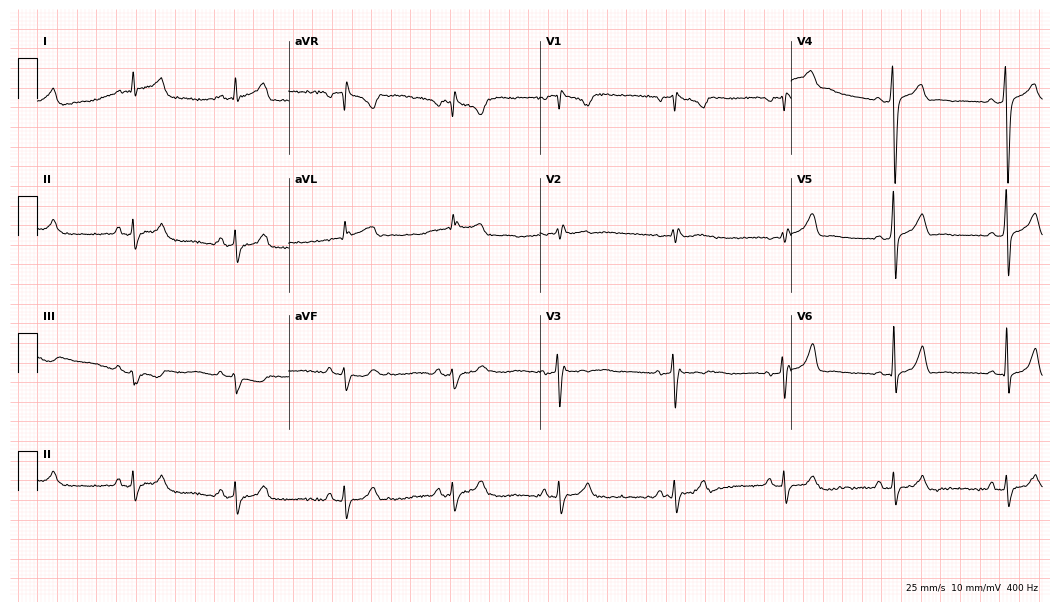
Electrocardiogram, a 21-year-old man. Of the six screened findings (first-degree AV block, right bundle branch block (RBBB), left bundle branch block (LBBB), sinus bradycardia, atrial fibrillation (AF), sinus tachycardia), none is recorded.